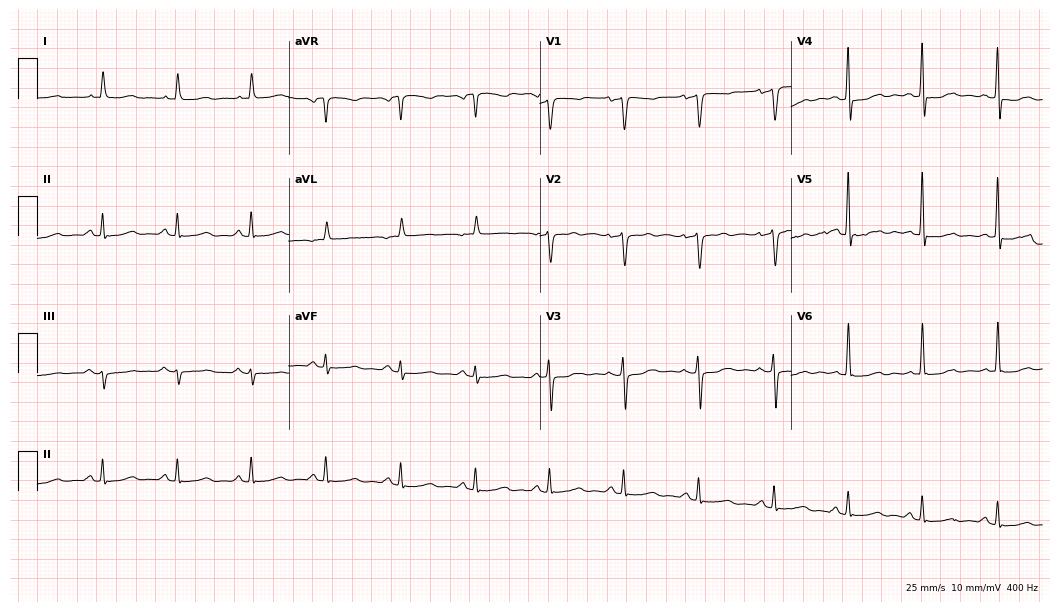
12-lead ECG from a woman, 68 years old (10.2-second recording at 400 Hz). No first-degree AV block, right bundle branch block (RBBB), left bundle branch block (LBBB), sinus bradycardia, atrial fibrillation (AF) or sinus tachycardia recorded for this tracing.